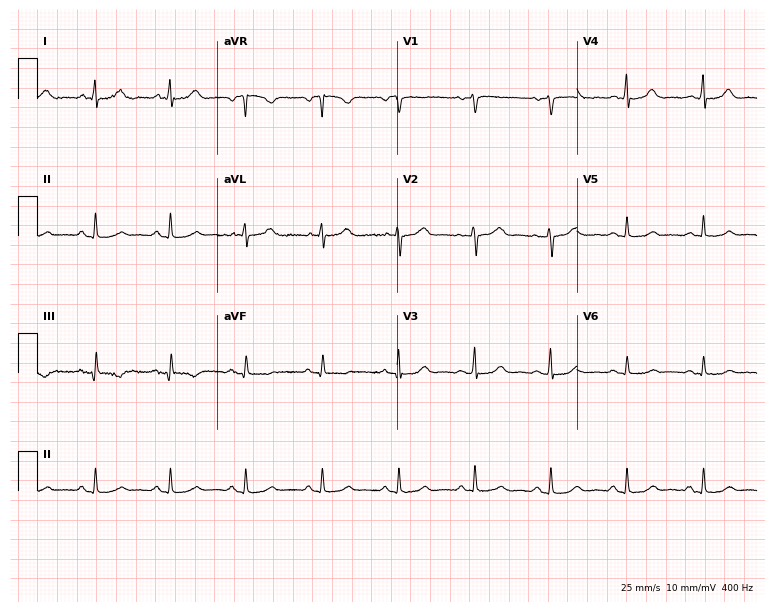
12-lead ECG from a 56-year-old female patient. Labelled as a normal ECG.